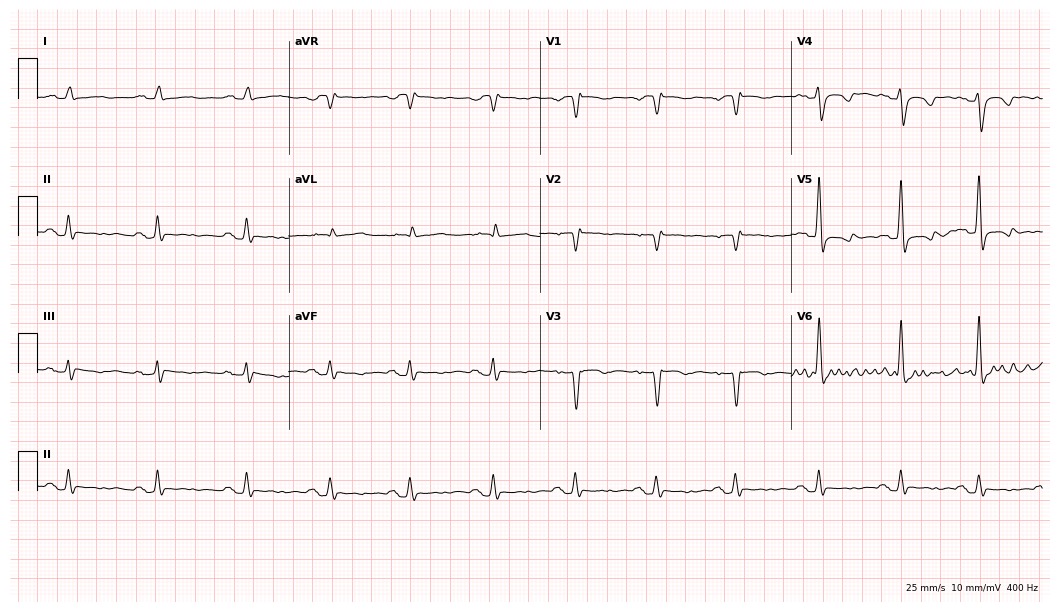
ECG (10.2-second recording at 400 Hz) — a female patient, 55 years old. Screened for six findings — first-degree AV block, right bundle branch block, left bundle branch block, sinus bradycardia, atrial fibrillation, sinus tachycardia — none is recorded. Findings outside these six are not listed.